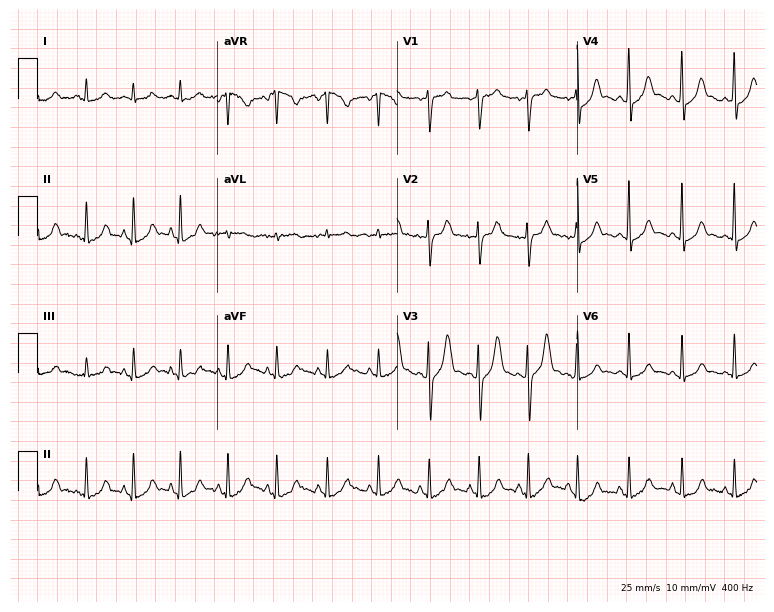
12-lead ECG from a 43-year-old female. Findings include sinus tachycardia (a sinus rate of 100 beats per minute or more).